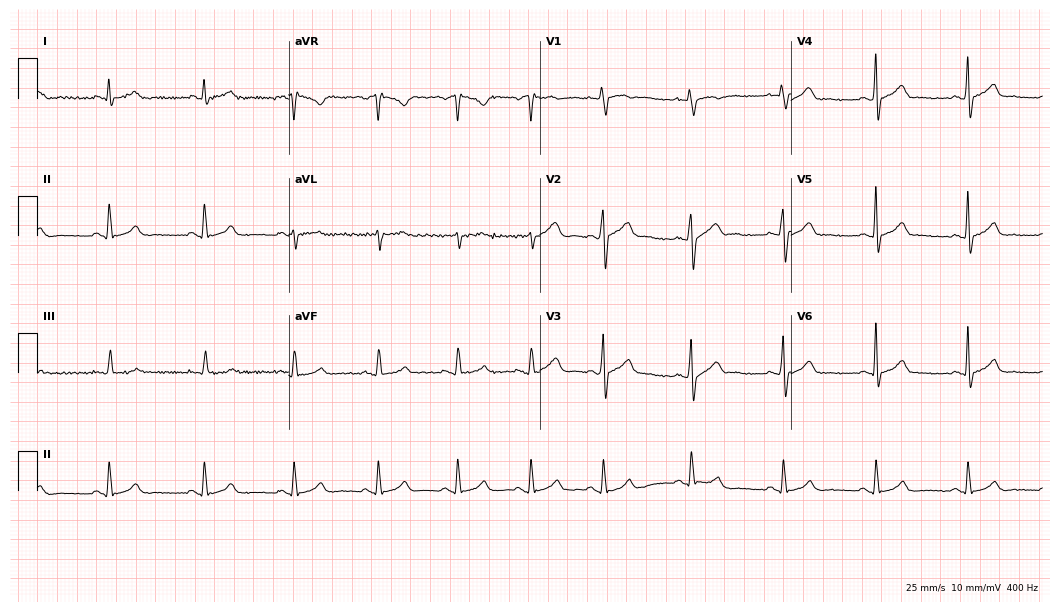
12-lead ECG from a 29-year-old male. Recorded interpretation: within normal limits.